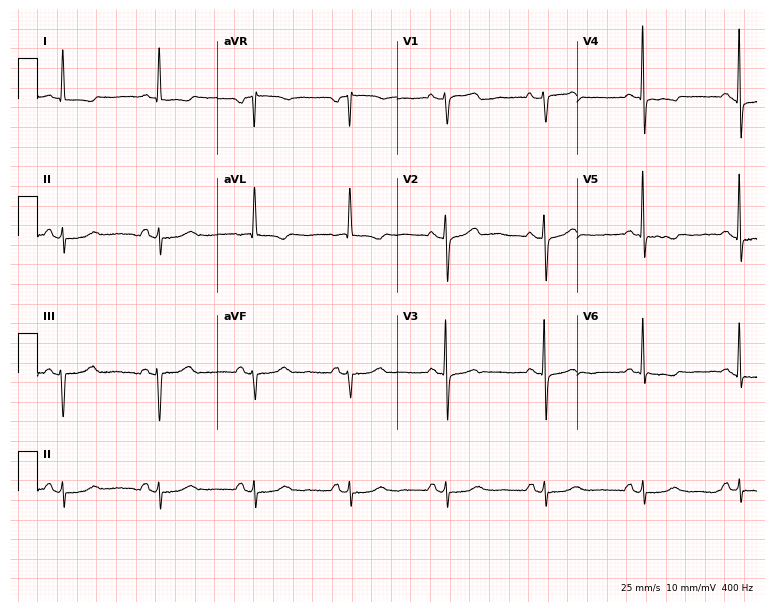
12-lead ECG (7.3-second recording at 400 Hz) from a female, 64 years old. Screened for six findings — first-degree AV block, right bundle branch block, left bundle branch block, sinus bradycardia, atrial fibrillation, sinus tachycardia — none is recorded. Findings outside these six are not listed.